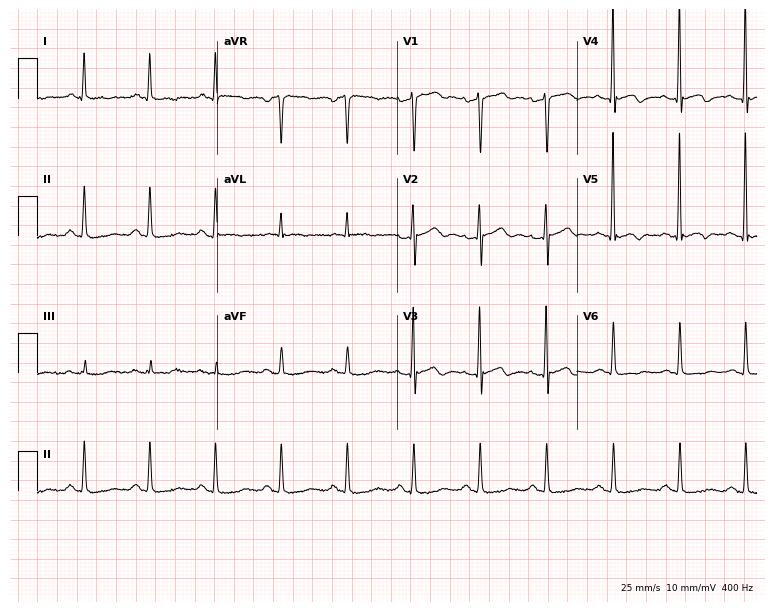
Standard 12-lead ECG recorded from an 82-year-old female. None of these six findings is recorded: first-degree AV block, right bundle branch block, left bundle branch block, sinus bradycardia, atrial fibrillation, sinus tachycardia.